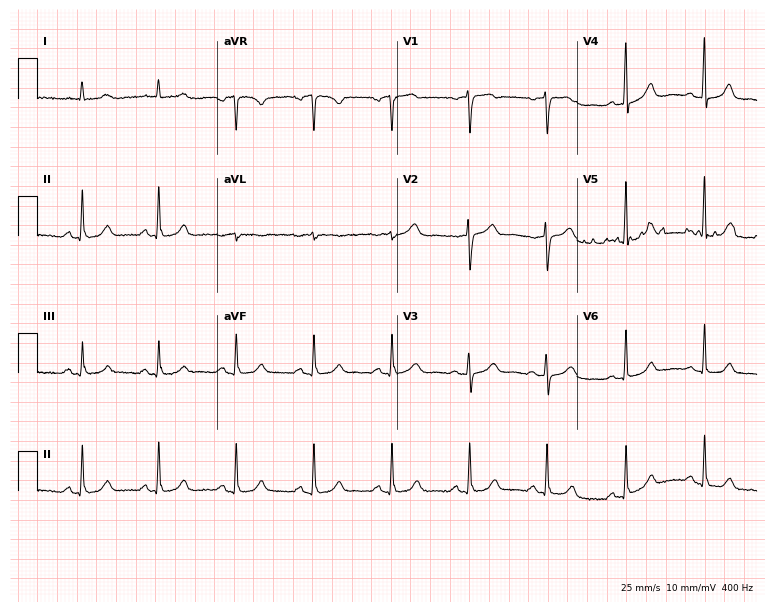
ECG (7.3-second recording at 400 Hz) — an 81-year-old woman. Labelled as a normal ECG.